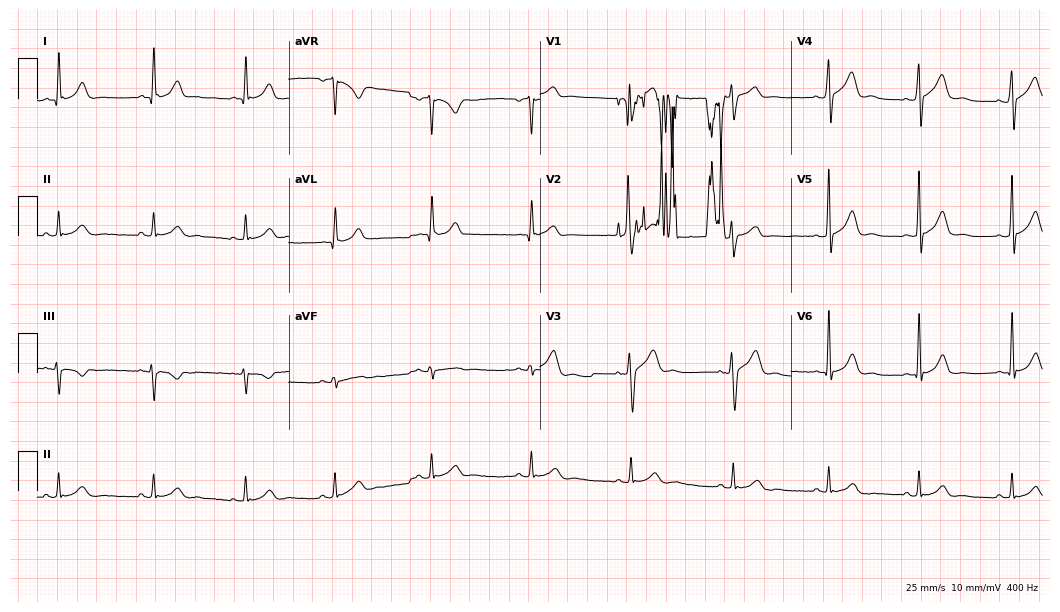
Electrocardiogram (10.2-second recording at 400 Hz), a 44-year-old man. Overall reading on record: normal ECG.